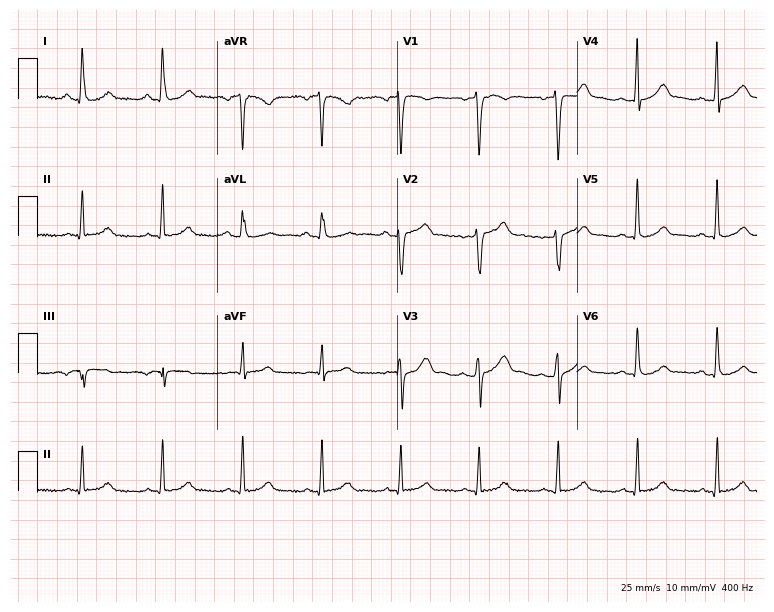
ECG (7.3-second recording at 400 Hz) — a 48-year-old male patient. Labelled as a normal ECG.